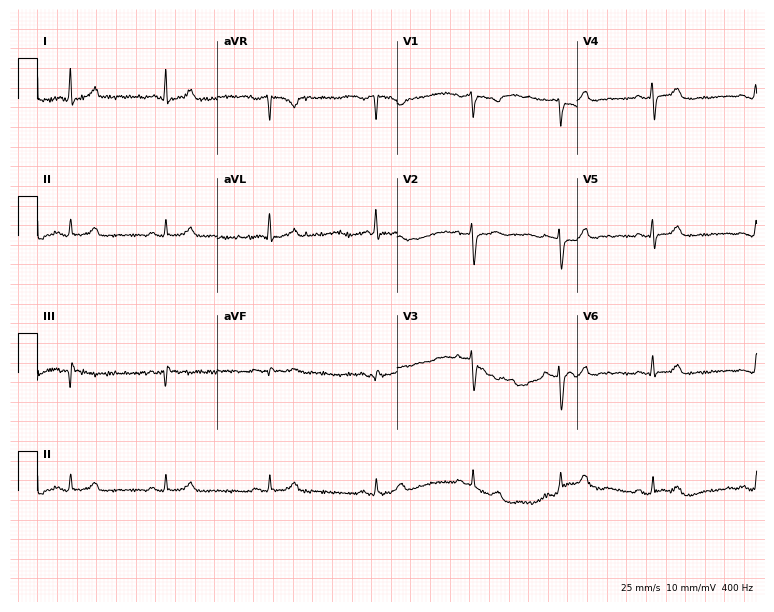
Electrocardiogram, a female, 55 years old. Of the six screened findings (first-degree AV block, right bundle branch block (RBBB), left bundle branch block (LBBB), sinus bradycardia, atrial fibrillation (AF), sinus tachycardia), none is recorded.